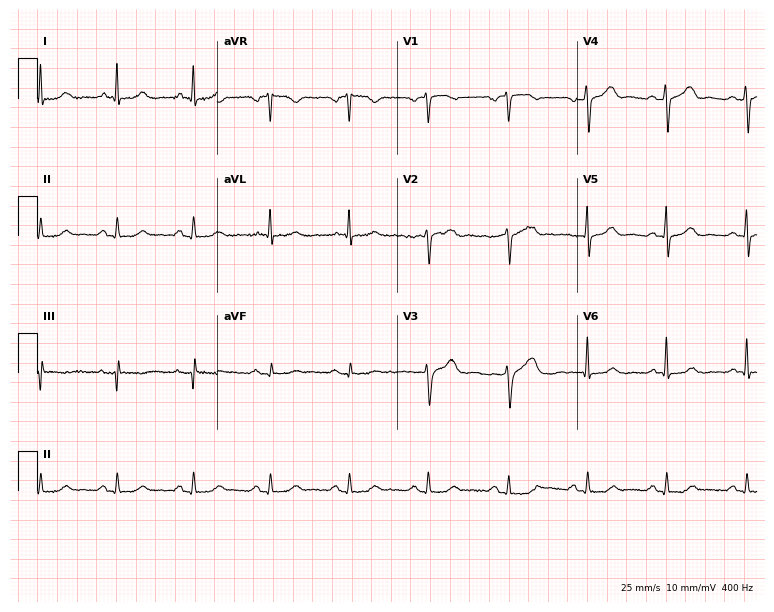
12-lead ECG (7.3-second recording at 400 Hz) from a 68-year-old man. Labelled as a normal ECG.